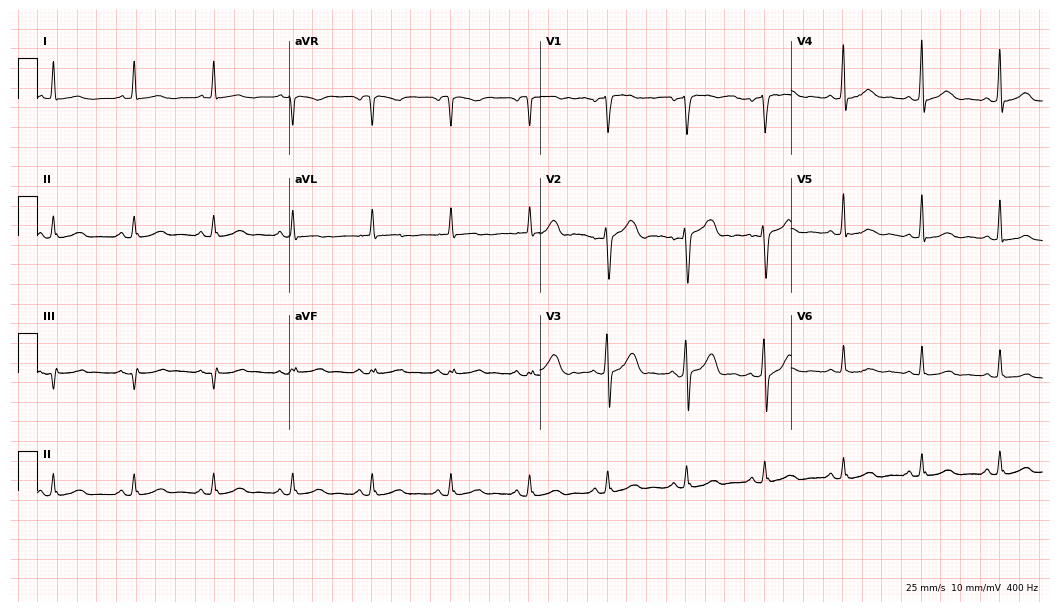
Resting 12-lead electrocardiogram. Patient: a male, 61 years old. Read as a normal ECG.